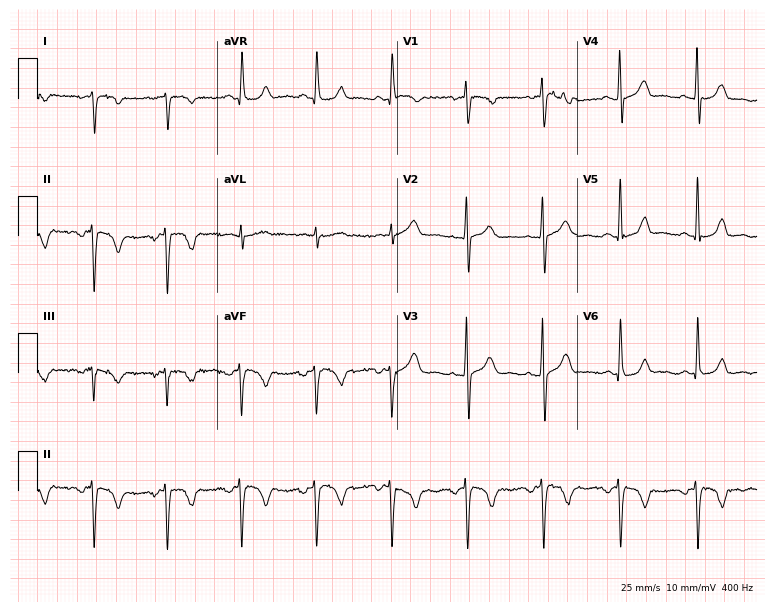
Resting 12-lead electrocardiogram. Patient: a woman, 54 years old. None of these six findings is recorded: first-degree AV block, right bundle branch block (RBBB), left bundle branch block (LBBB), sinus bradycardia, atrial fibrillation (AF), sinus tachycardia.